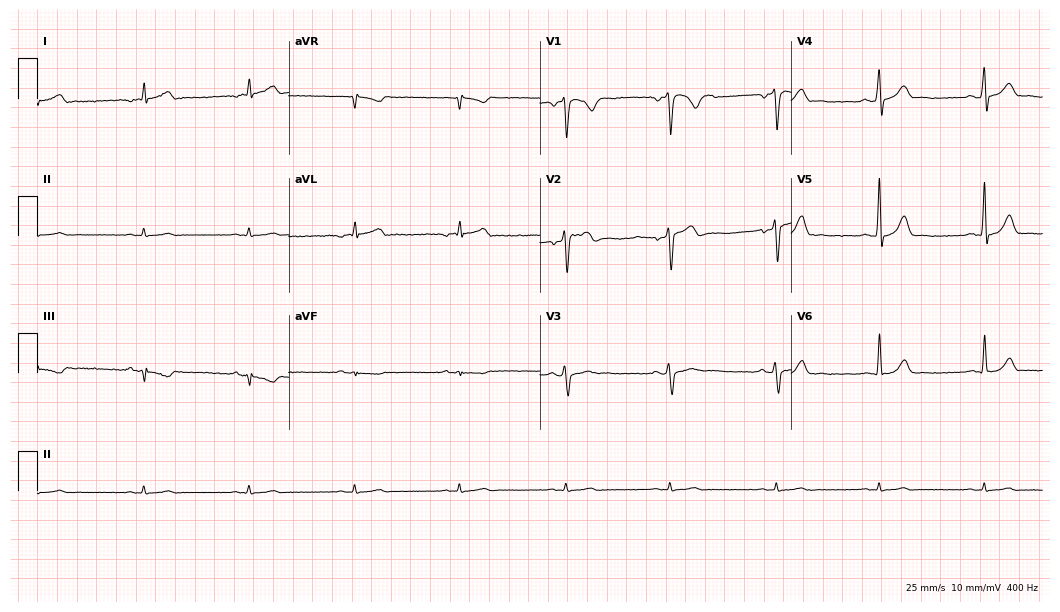
Resting 12-lead electrocardiogram. Patient: a 51-year-old male. None of these six findings is recorded: first-degree AV block, right bundle branch block, left bundle branch block, sinus bradycardia, atrial fibrillation, sinus tachycardia. Findings outside these six are not listed.